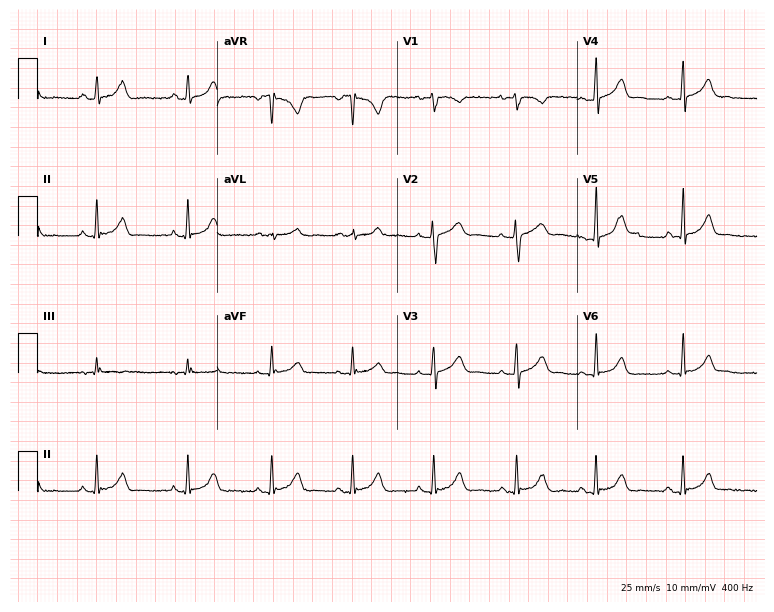
12-lead ECG from a 23-year-old woman (7.3-second recording at 400 Hz). Recorded interpretation: within normal limits.